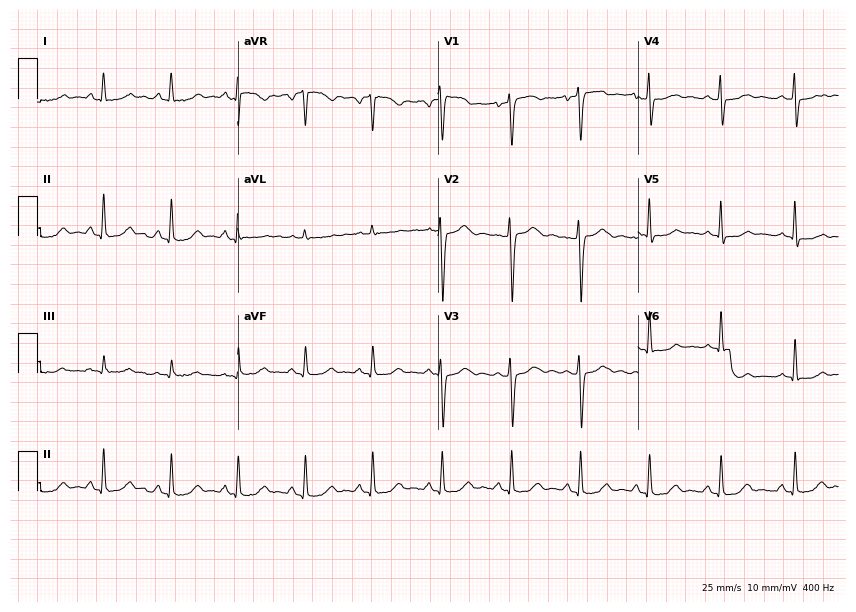
ECG (8.2-second recording at 400 Hz) — a female patient, 36 years old. Labelled as a normal ECG.